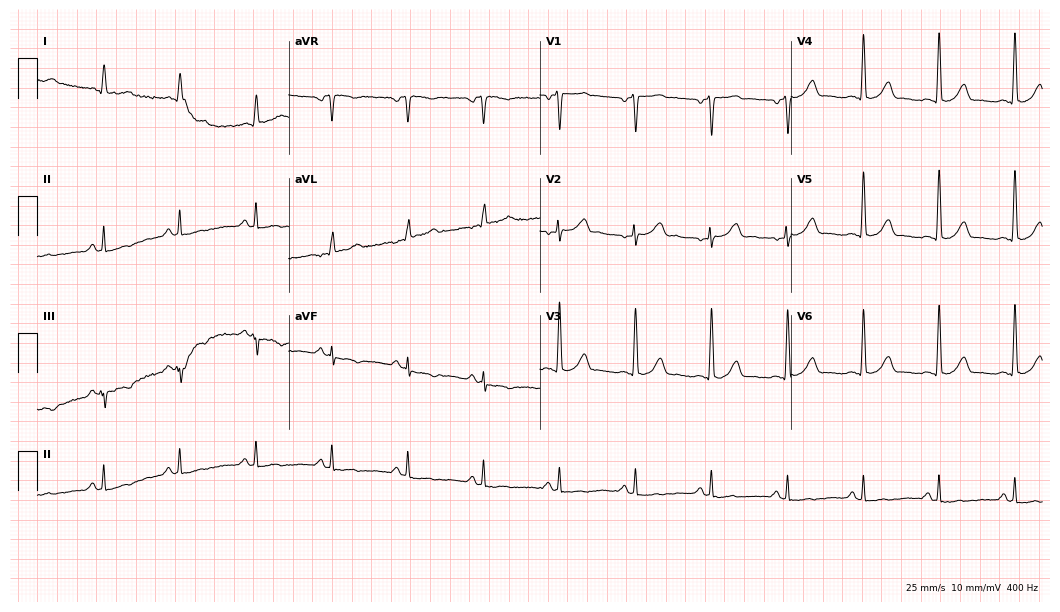
ECG — a man, 64 years old. Screened for six findings — first-degree AV block, right bundle branch block (RBBB), left bundle branch block (LBBB), sinus bradycardia, atrial fibrillation (AF), sinus tachycardia — none is recorded.